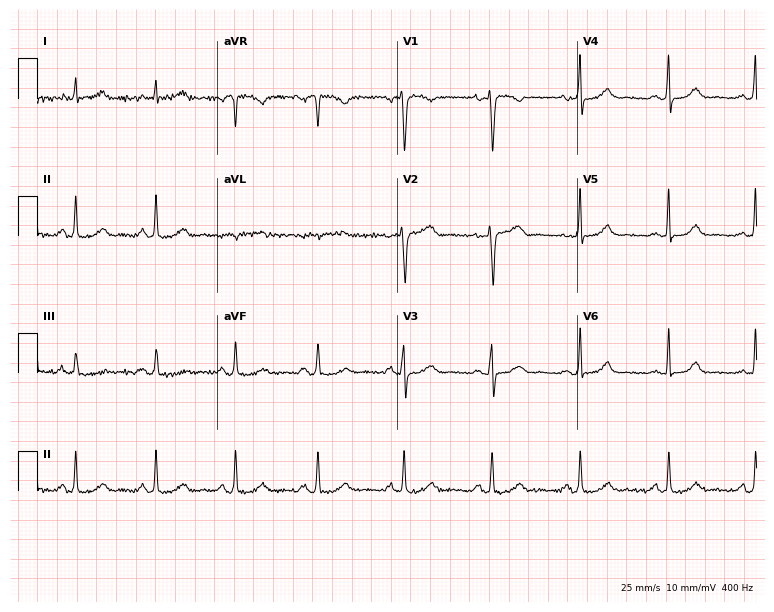
12-lead ECG from a female patient, 46 years old (7.3-second recording at 400 Hz). Recorded interpretation: within normal limits.